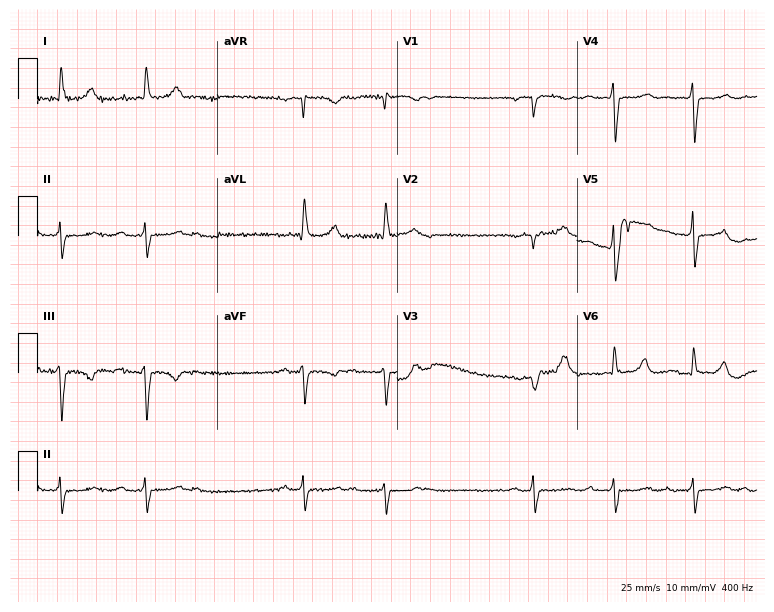
Resting 12-lead electrocardiogram. Patient: a 55-year-old female. None of these six findings is recorded: first-degree AV block, right bundle branch block, left bundle branch block, sinus bradycardia, atrial fibrillation, sinus tachycardia.